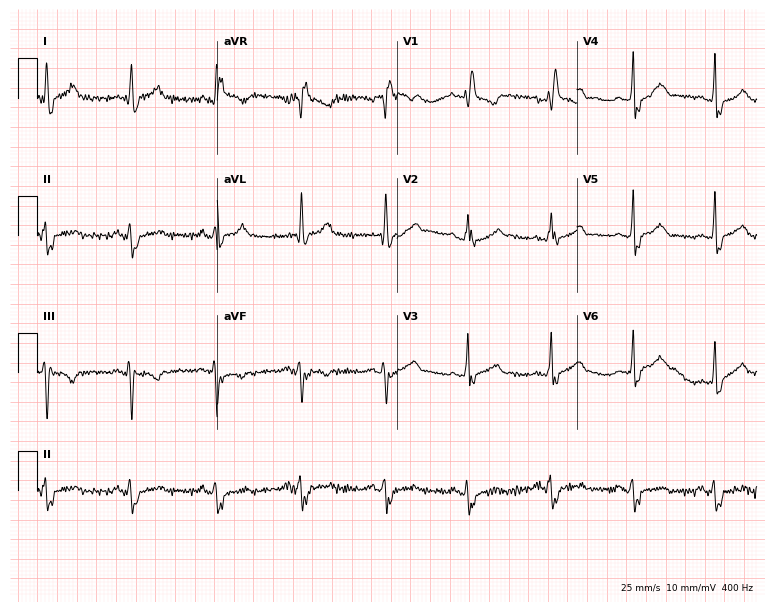
Electrocardiogram (7.3-second recording at 400 Hz), a female patient, 40 years old. Interpretation includes right bundle branch block.